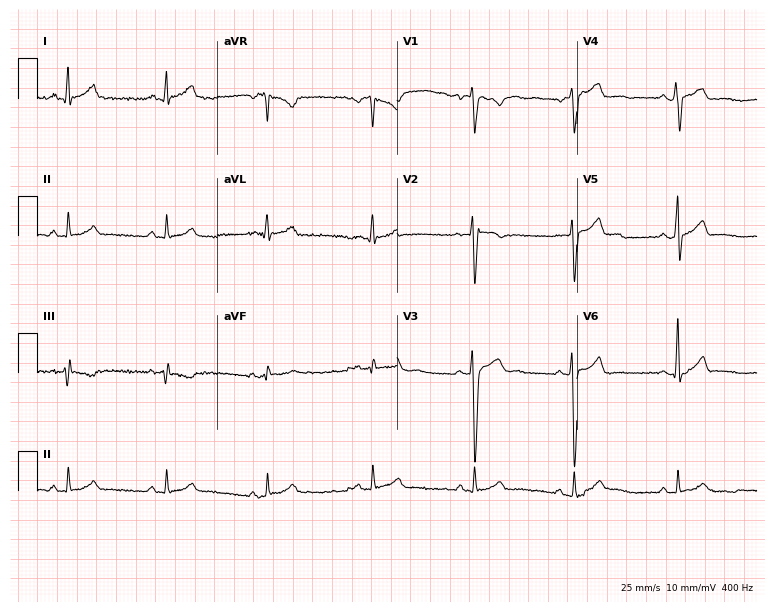
Standard 12-lead ECG recorded from a male, 18 years old. Read as a normal ECG.